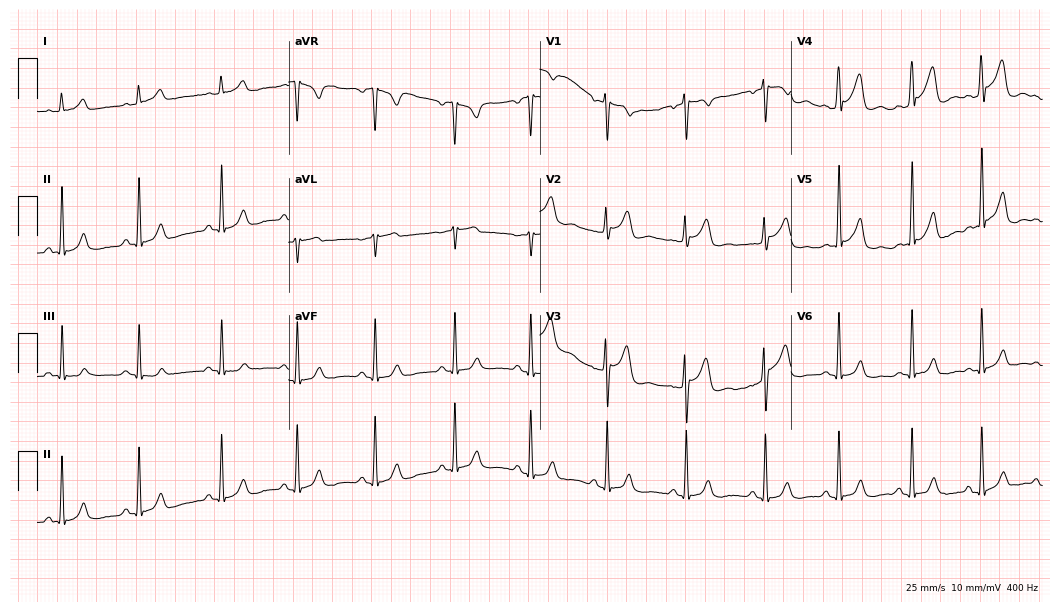
12-lead ECG from a male patient, 21 years old (10.2-second recording at 400 Hz). Recorded interpretation: within normal limits.